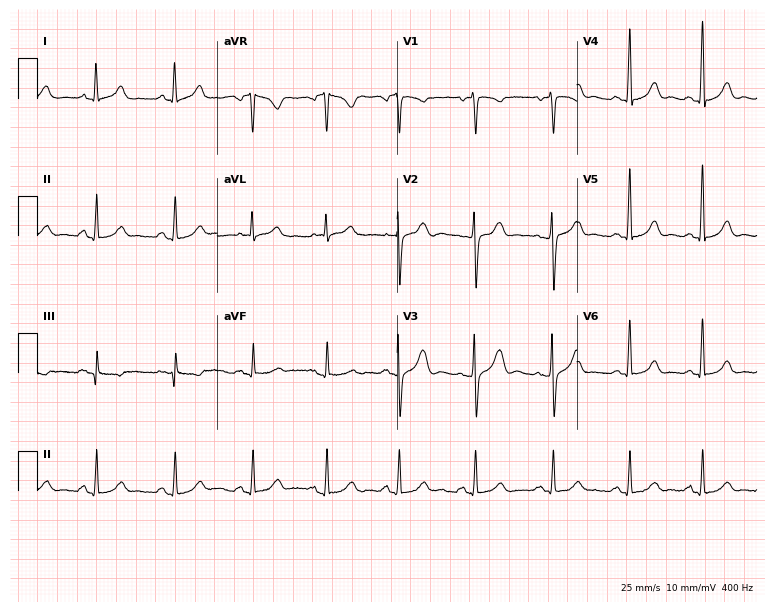
12-lead ECG from a woman, 35 years old. Labelled as a normal ECG.